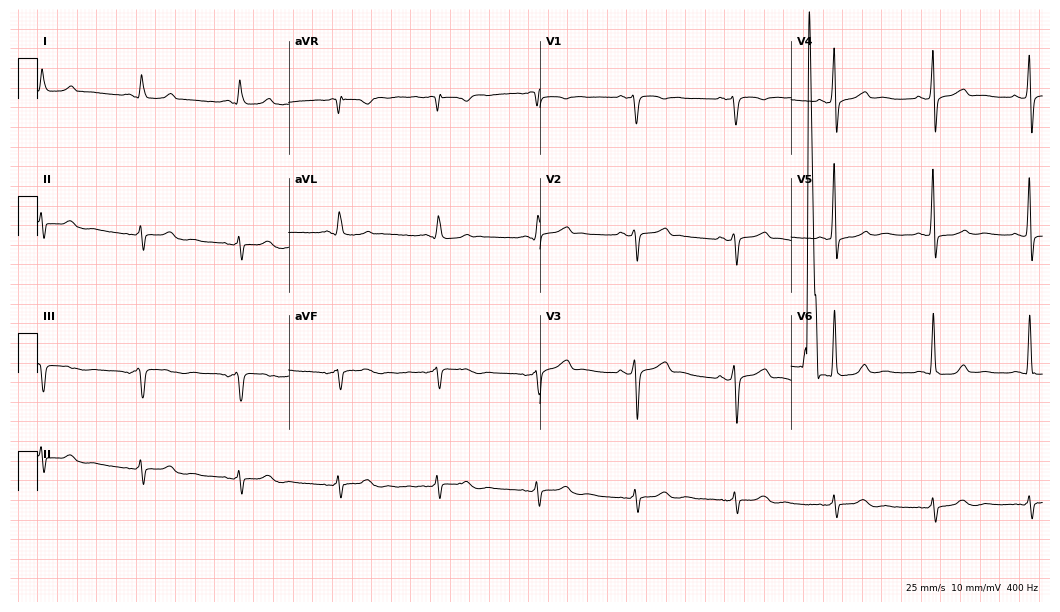
12-lead ECG (10.2-second recording at 400 Hz) from a 78-year-old man. Screened for six findings — first-degree AV block, right bundle branch block, left bundle branch block, sinus bradycardia, atrial fibrillation, sinus tachycardia — none is recorded. Findings outside these six are not listed.